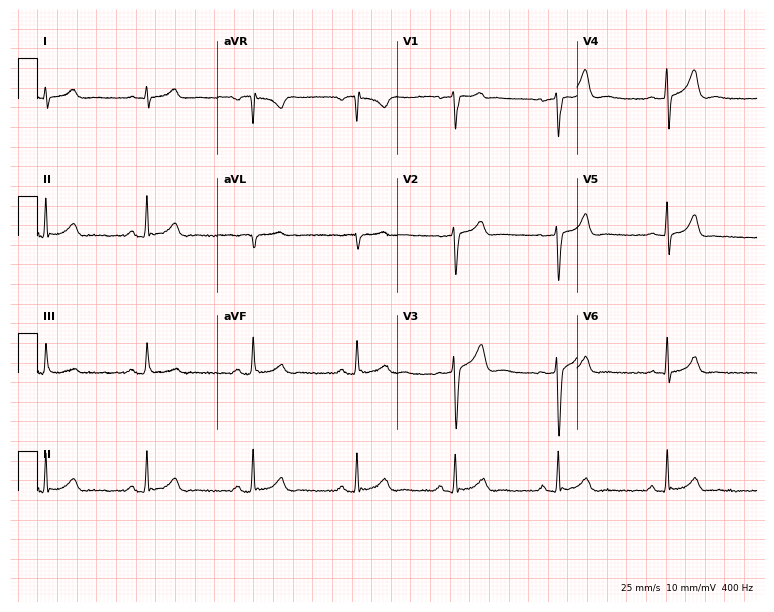
ECG — a male, 26 years old. Labelled as a normal ECG.